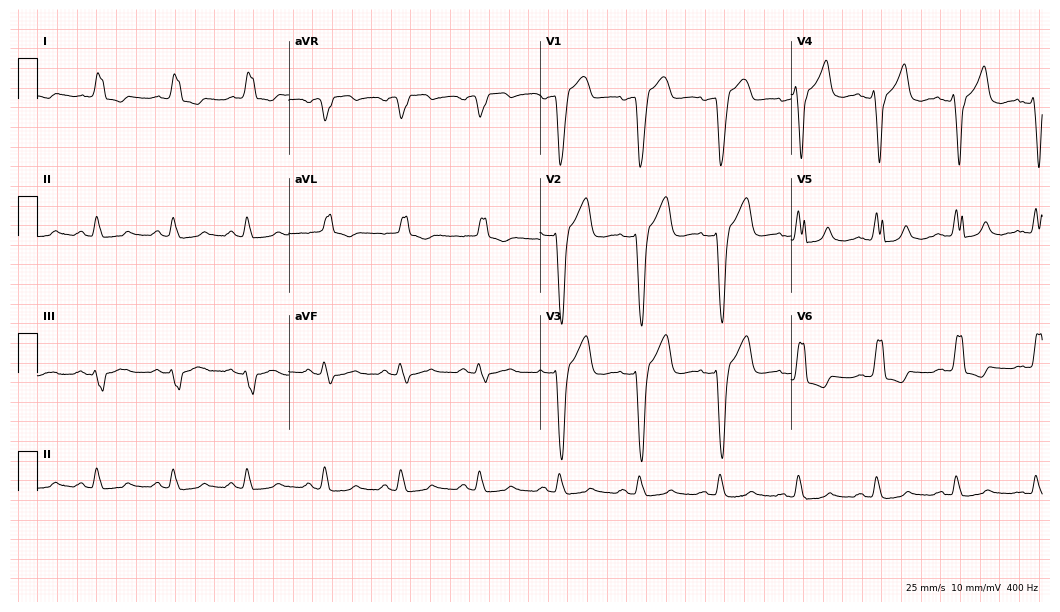
Standard 12-lead ECG recorded from a 72-year-old male. The tracing shows left bundle branch block.